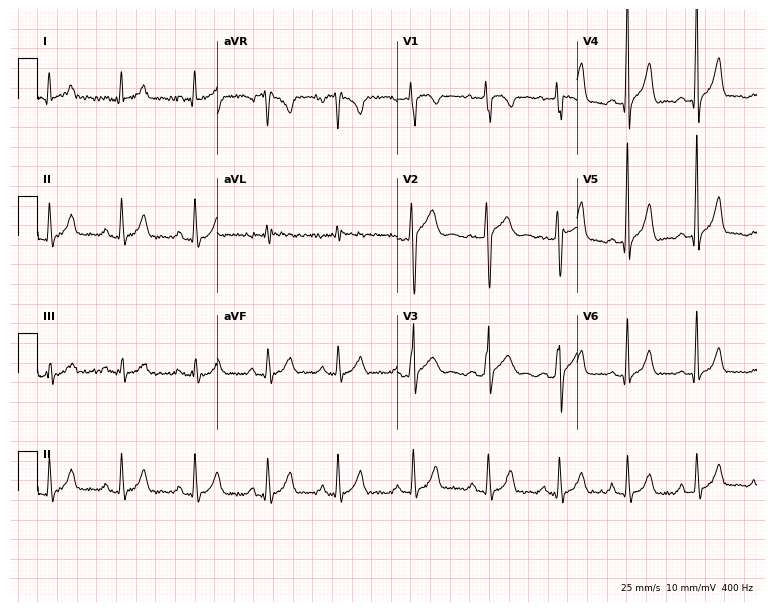
12-lead ECG from a 30-year-old male. No first-degree AV block, right bundle branch block, left bundle branch block, sinus bradycardia, atrial fibrillation or sinus tachycardia recorded for this tracing. Findings outside these six are not listed.